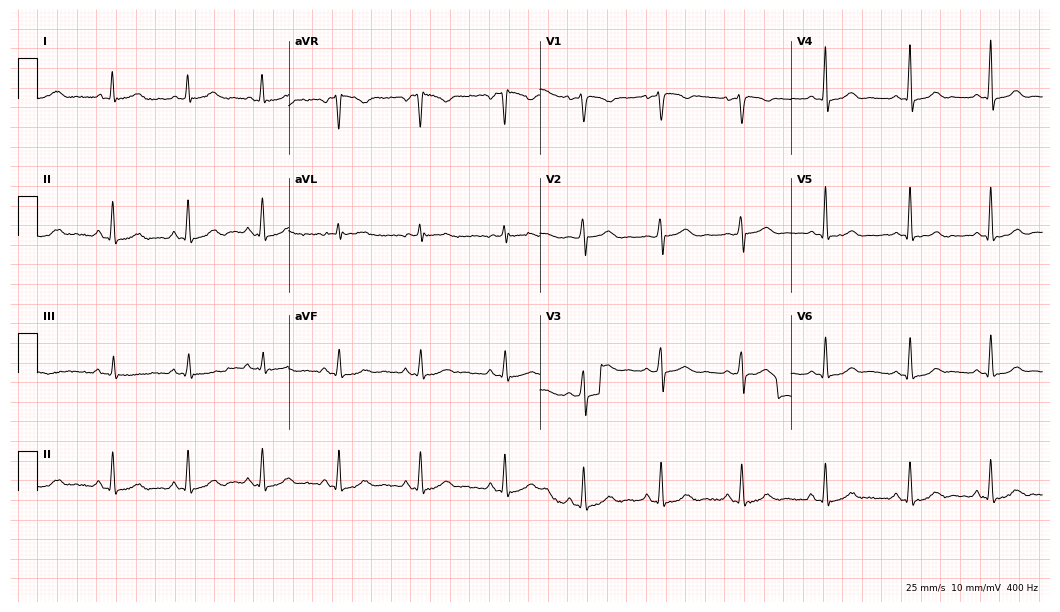
Resting 12-lead electrocardiogram (10.2-second recording at 400 Hz). Patient: a 37-year-old female. Read as a normal ECG.